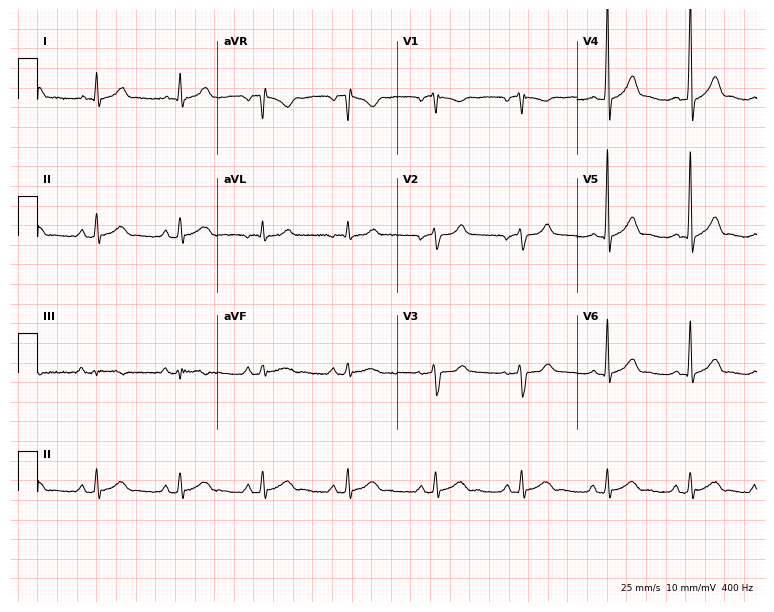
Resting 12-lead electrocardiogram (7.3-second recording at 400 Hz). Patient: a 39-year-old man. Read as a normal ECG.